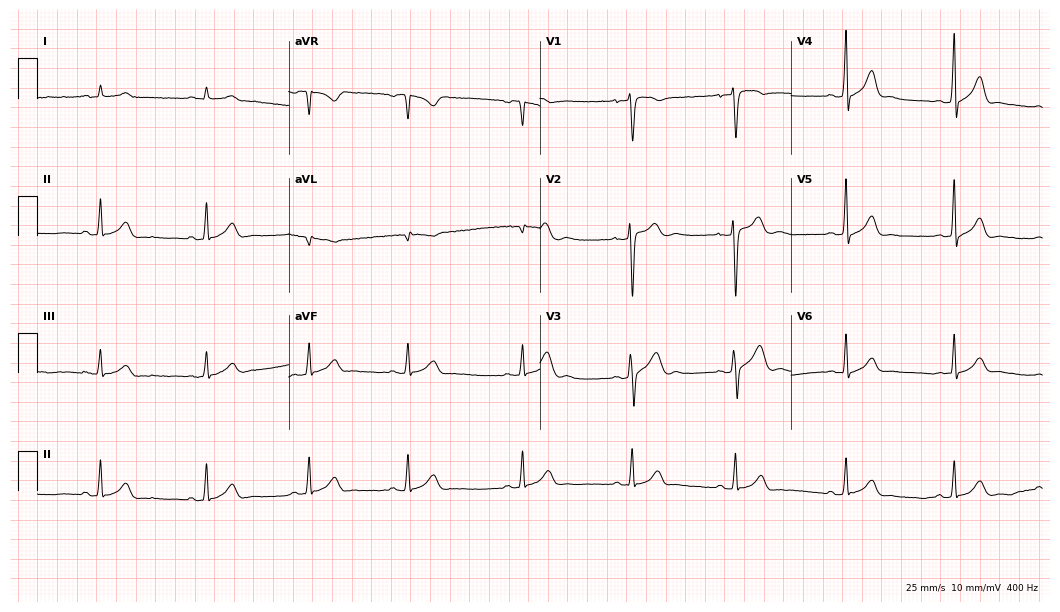
Standard 12-lead ECG recorded from a man, 36 years old. Read as a normal ECG.